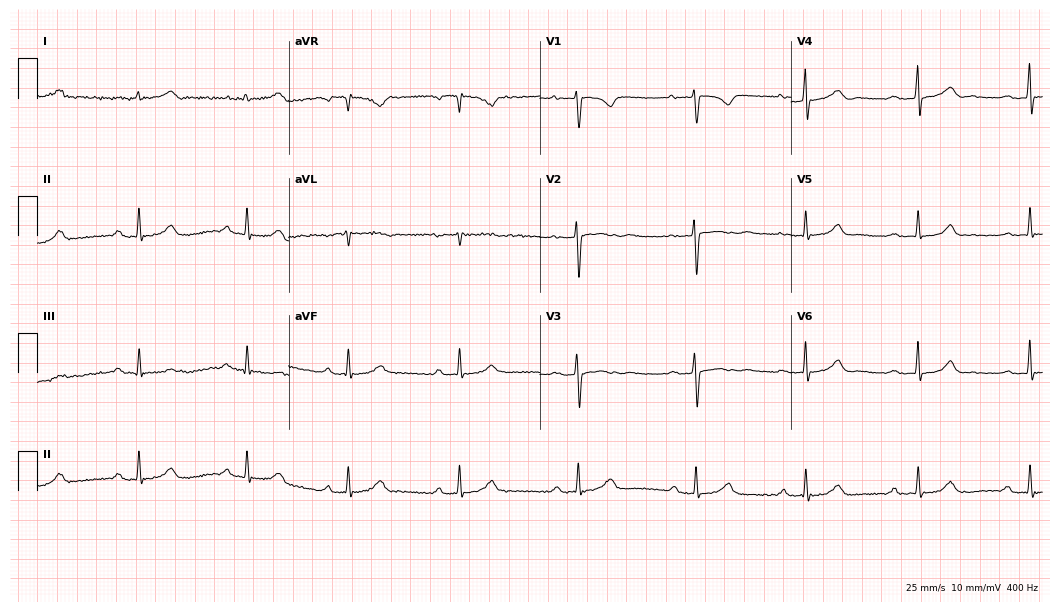
12-lead ECG from a 47-year-old woman. Findings include first-degree AV block.